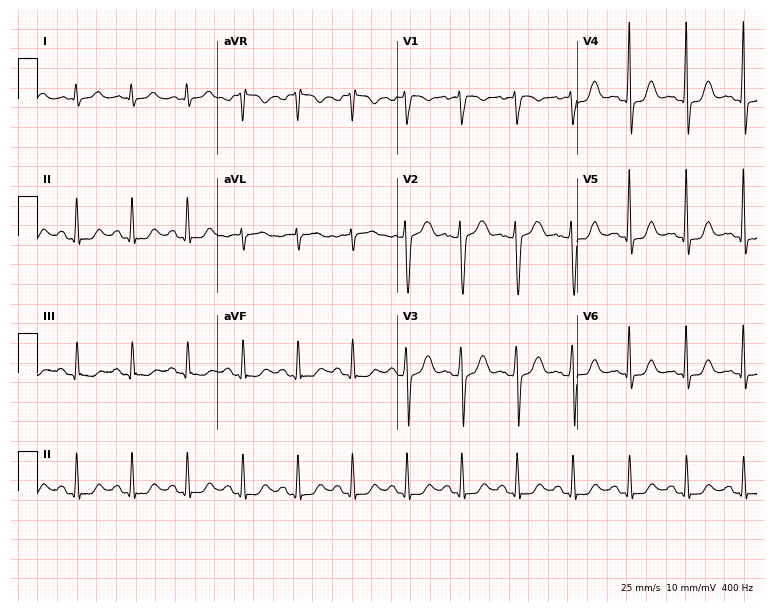
Standard 12-lead ECG recorded from a 56-year-old male. The tracing shows sinus tachycardia (a sinus rate of 100 beats per minute or more).